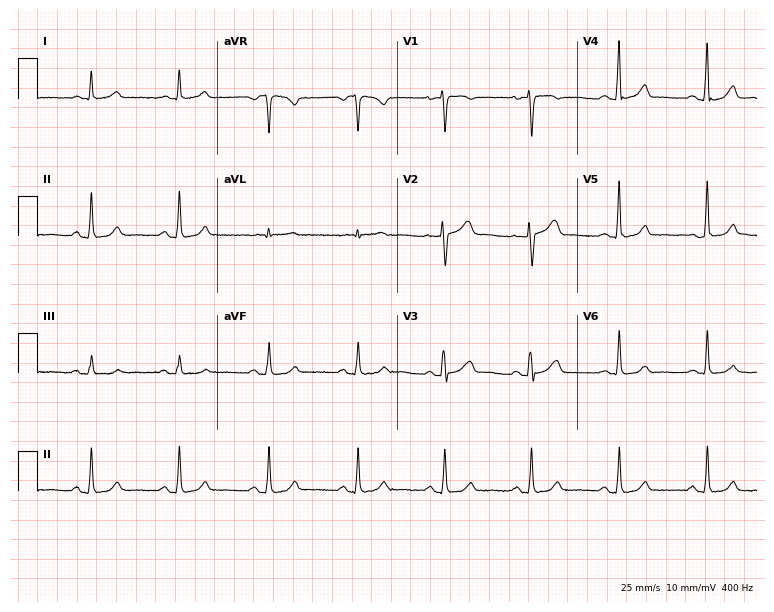
Electrocardiogram (7.3-second recording at 400 Hz), a female, 55 years old. Of the six screened findings (first-degree AV block, right bundle branch block, left bundle branch block, sinus bradycardia, atrial fibrillation, sinus tachycardia), none is recorded. Findings outside these six are not listed.